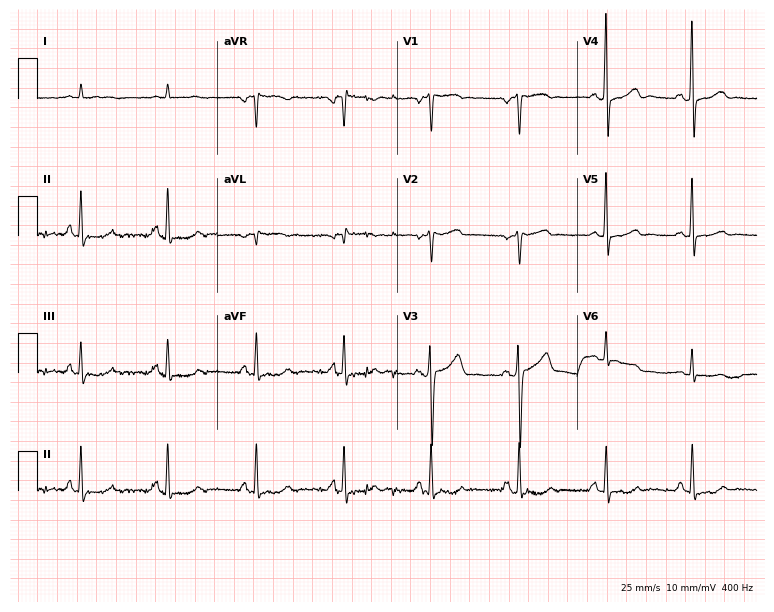
12-lead ECG from a 62-year-old male patient (7.3-second recording at 400 Hz). No first-degree AV block, right bundle branch block, left bundle branch block, sinus bradycardia, atrial fibrillation or sinus tachycardia recorded for this tracing.